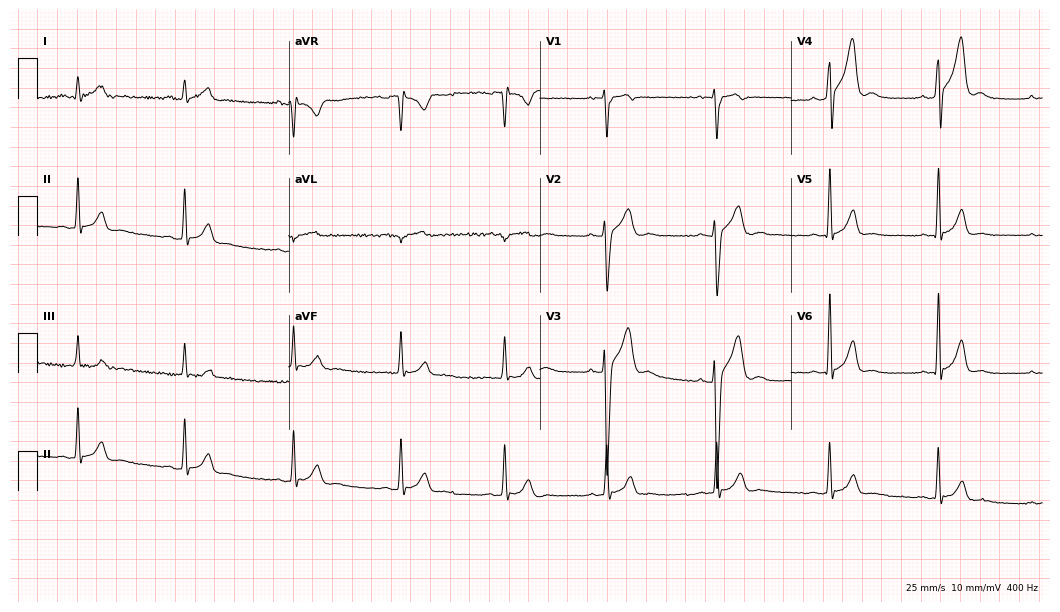
ECG (10.2-second recording at 400 Hz) — a man, 19 years old. Labelled as a normal ECG.